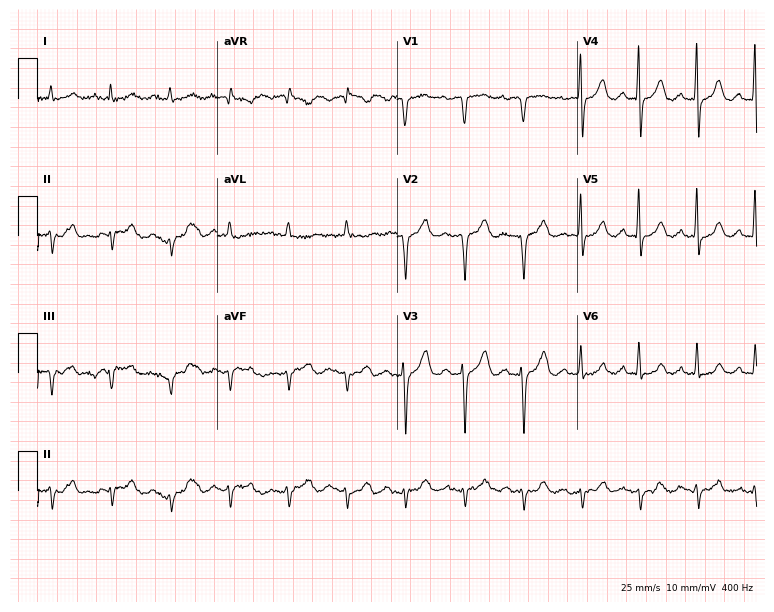
Standard 12-lead ECG recorded from a male, 76 years old (7.3-second recording at 400 Hz). None of these six findings is recorded: first-degree AV block, right bundle branch block, left bundle branch block, sinus bradycardia, atrial fibrillation, sinus tachycardia.